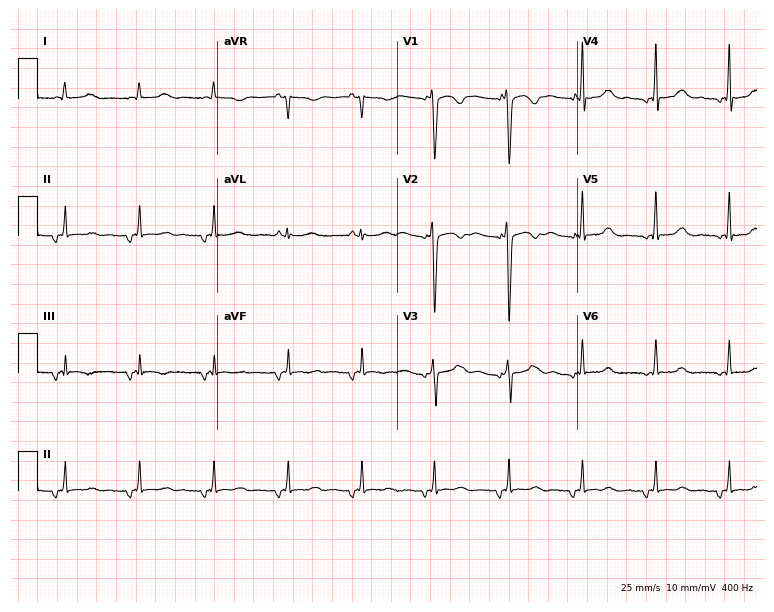
Resting 12-lead electrocardiogram (7.3-second recording at 400 Hz). Patient: a female, 33 years old. None of these six findings is recorded: first-degree AV block, right bundle branch block, left bundle branch block, sinus bradycardia, atrial fibrillation, sinus tachycardia. Other findings, if any, are not listed.